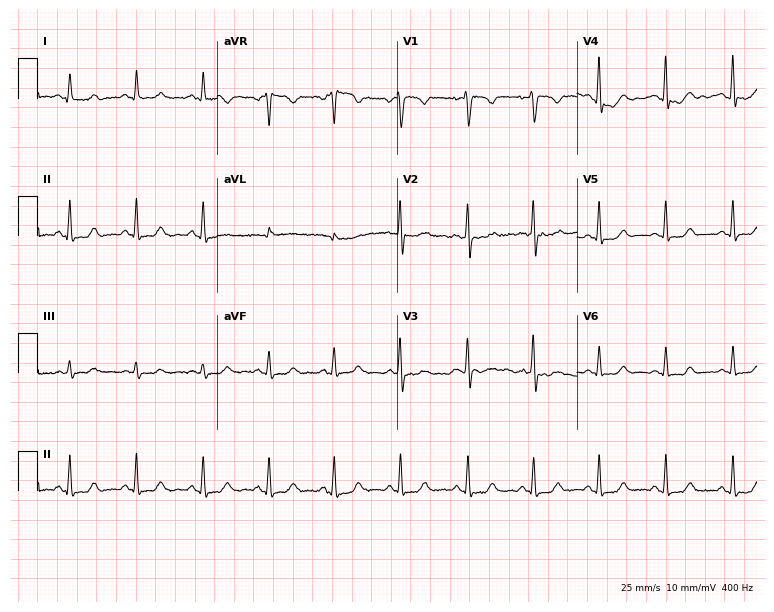
ECG — a female patient, 45 years old. Screened for six findings — first-degree AV block, right bundle branch block (RBBB), left bundle branch block (LBBB), sinus bradycardia, atrial fibrillation (AF), sinus tachycardia — none is recorded.